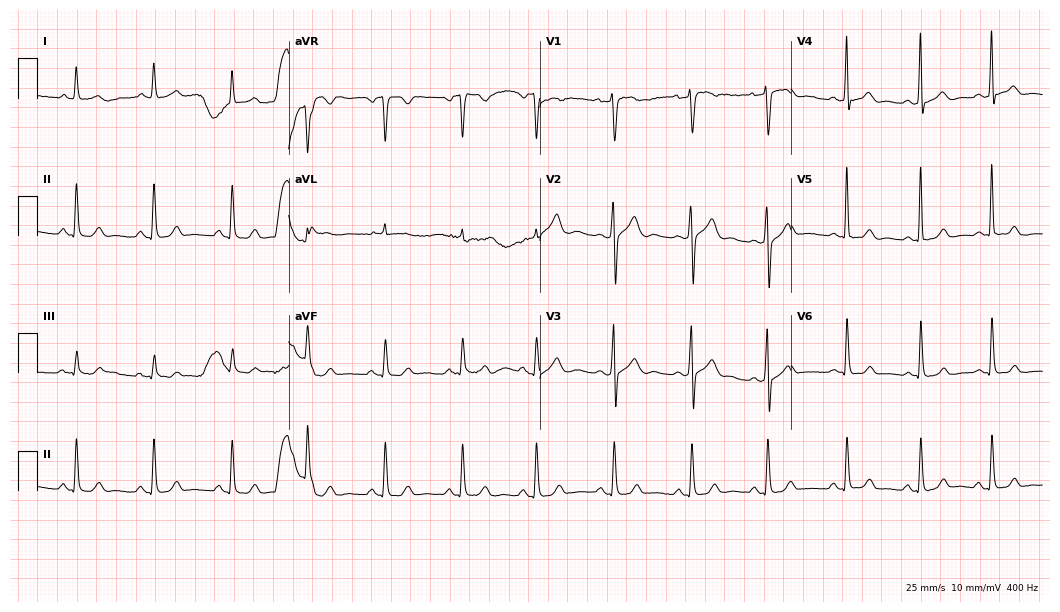
12-lead ECG from a male patient, 36 years old. Recorded interpretation: within normal limits.